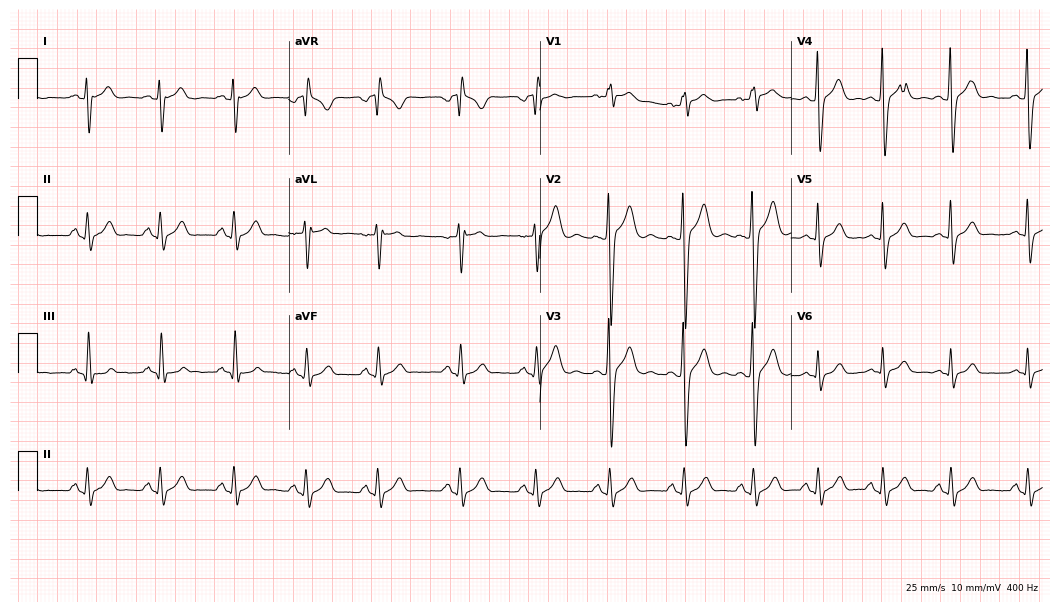
12-lead ECG from a 20-year-old man. Screened for six findings — first-degree AV block, right bundle branch block, left bundle branch block, sinus bradycardia, atrial fibrillation, sinus tachycardia — none is recorded.